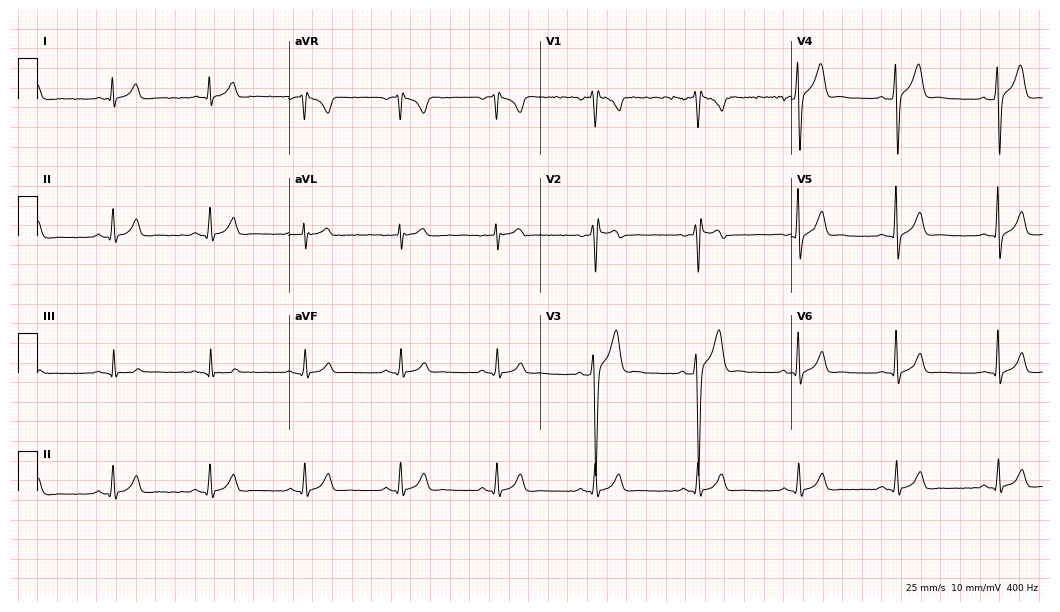
ECG (10.2-second recording at 400 Hz) — a male patient, 21 years old. Screened for six findings — first-degree AV block, right bundle branch block, left bundle branch block, sinus bradycardia, atrial fibrillation, sinus tachycardia — none is recorded.